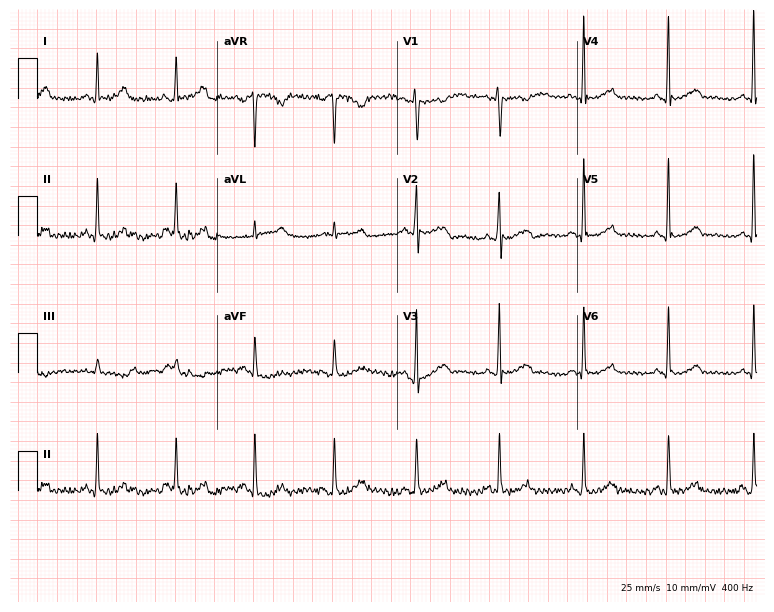
12-lead ECG (7.3-second recording at 400 Hz) from a 49-year-old woman. Screened for six findings — first-degree AV block, right bundle branch block (RBBB), left bundle branch block (LBBB), sinus bradycardia, atrial fibrillation (AF), sinus tachycardia — none is recorded. Other findings, if any, are not listed.